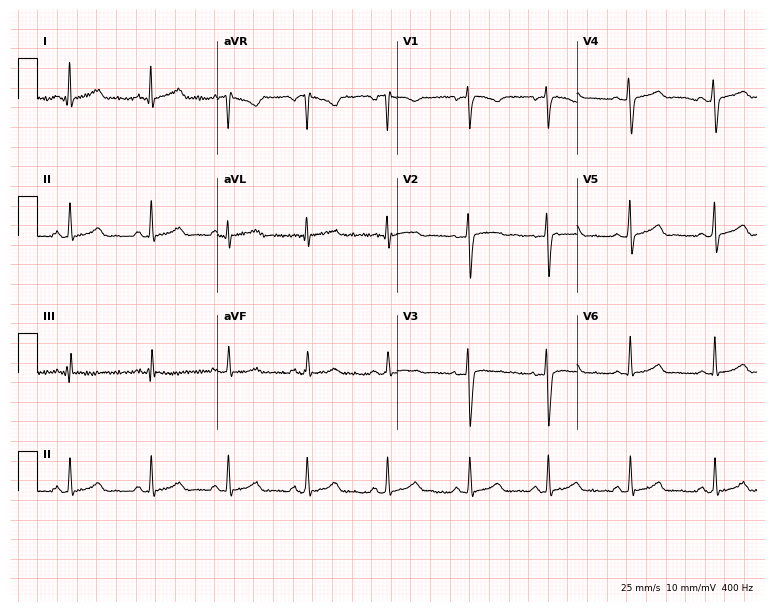
ECG — a female patient, 42 years old. Labelled as a normal ECG.